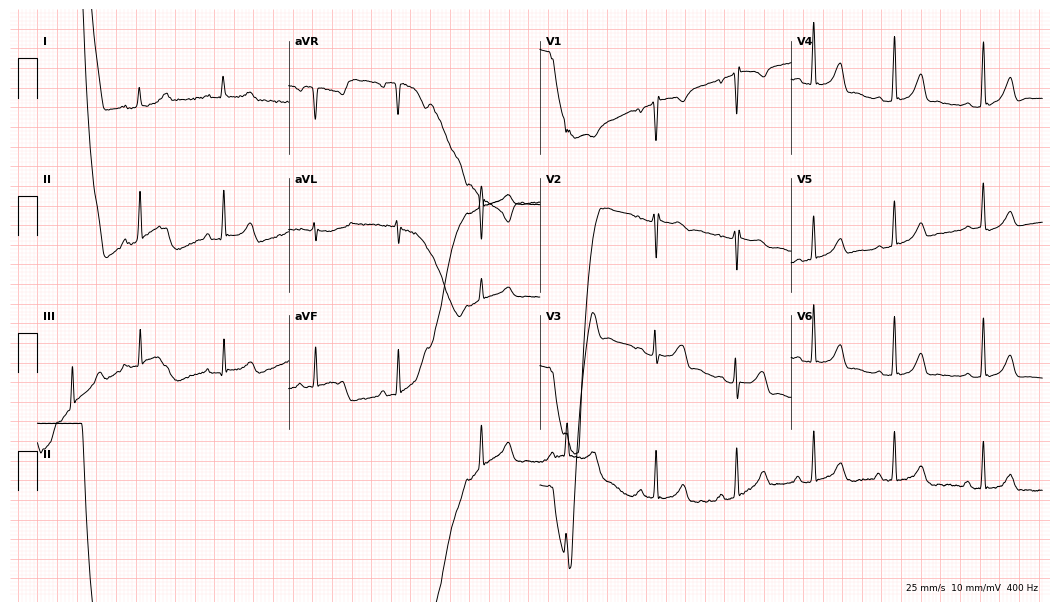
12-lead ECG from a 22-year-old female patient. Screened for six findings — first-degree AV block, right bundle branch block, left bundle branch block, sinus bradycardia, atrial fibrillation, sinus tachycardia — none is recorded. Other findings, if any, are not listed.